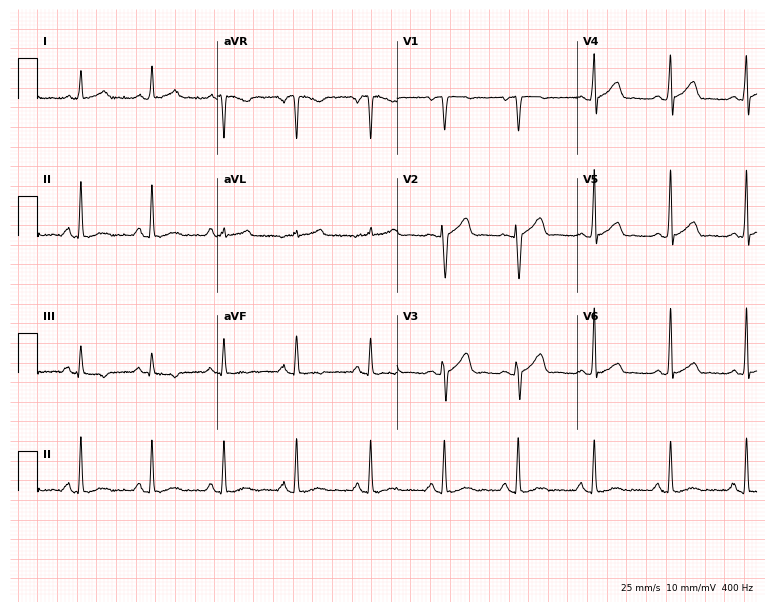
12-lead ECG from a woman, 55 years old. No first-degree AV block, right bundle branch block, left bundle branch block, sinus bradycardia, atrial fibrillation or sinus tachycardia recorded for this tracing.